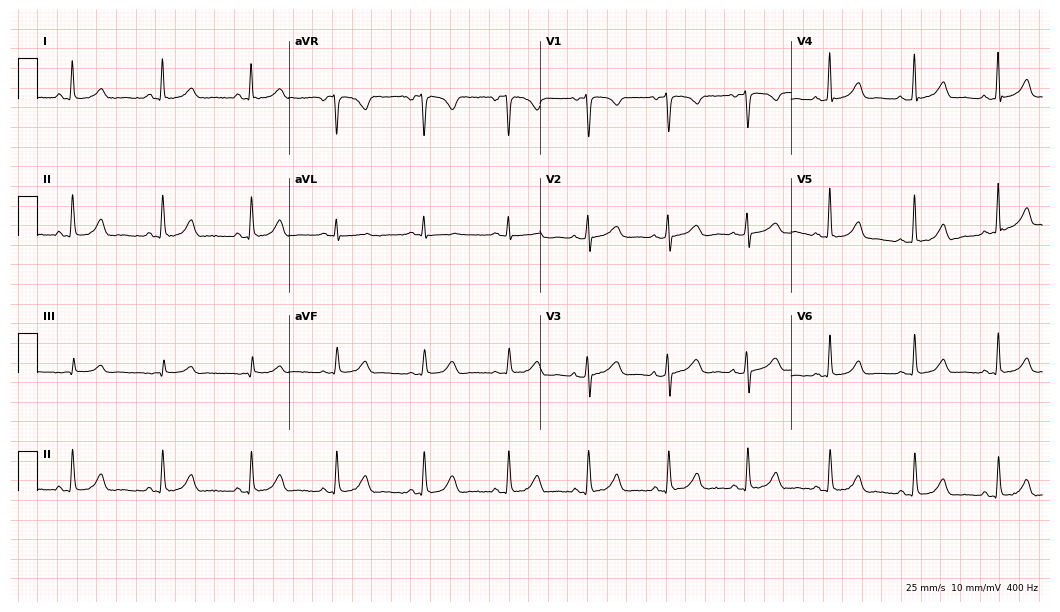
12-lead ECG from a female, 42 years old (10.2-second recording at 400 Hz). Recorded interpretation: within normal limits.